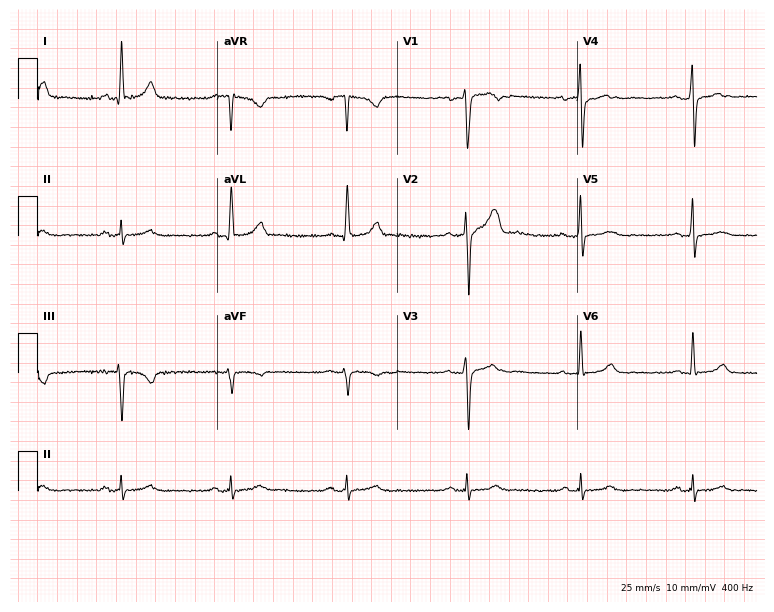
12-lead ECG from a male, 54 years old. Screened for six findings — first-degree AV block, right bundle branch block, left bundle branch block, sinus bradycardia, atrial fibrillation, sinus tachycardia — none is recorded. Only these six findings were labelled.